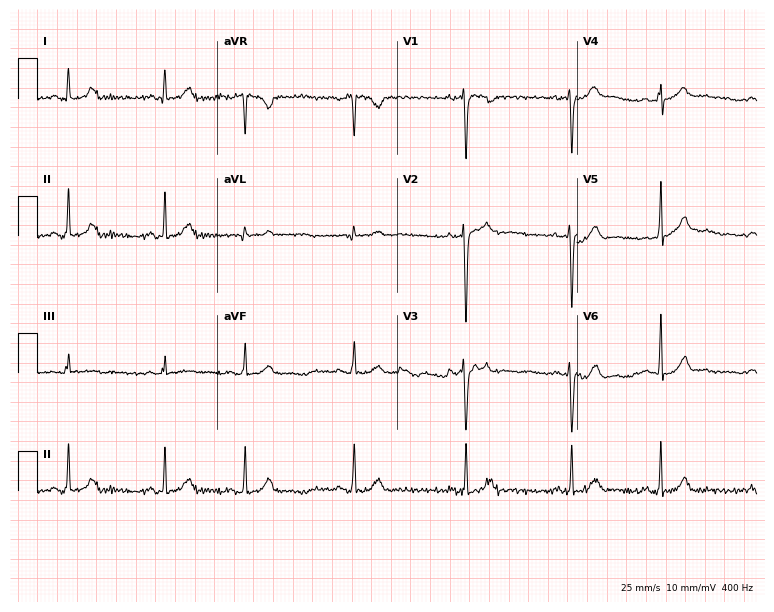
ECG — a 22-year-old woman. Labelled as a normal ECG.